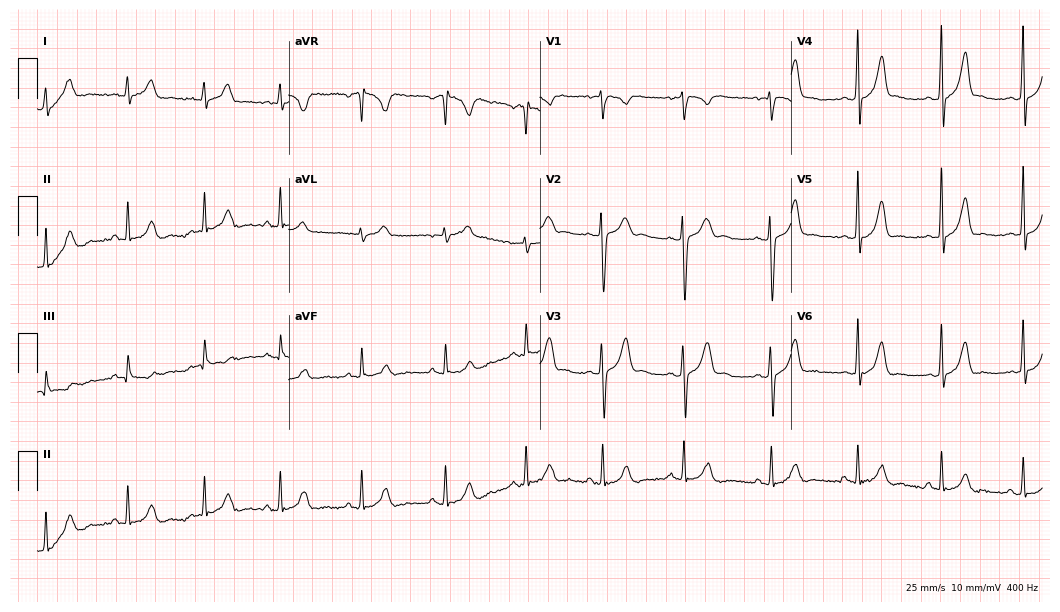
Electrocardiogram, a woman, 24 years old. Overall reading on record: normal ECG.